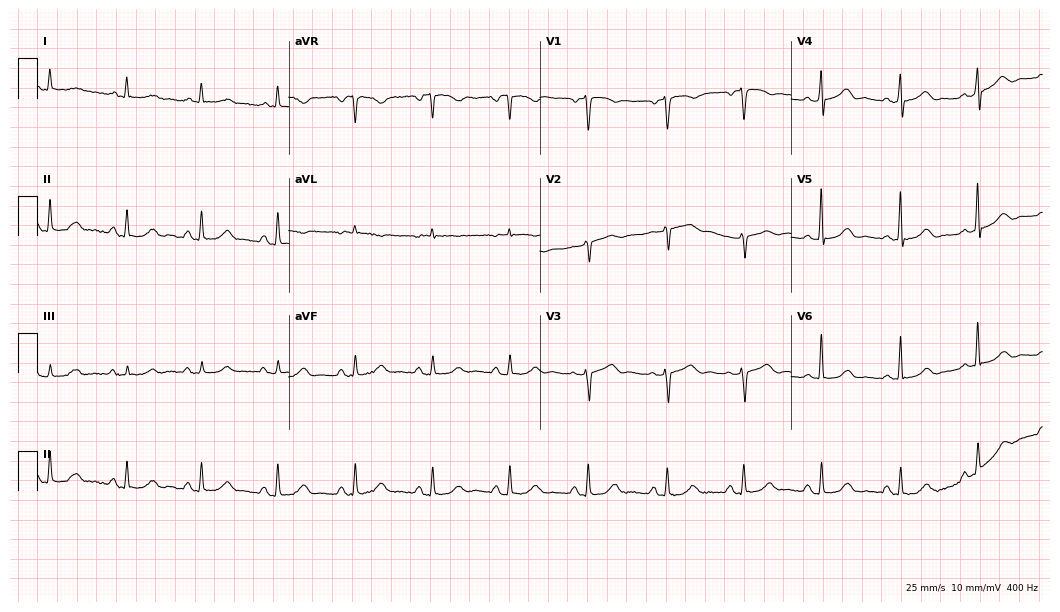
12-lead ECG from a 69-year-old woman. Screened for six findings — first-degree AV block, right bundle branch block, left bundle branch block, sinus bradycardia, atrial fibrillation, sinus tachycardia — none is recorded. Findings outside these six are not listed.